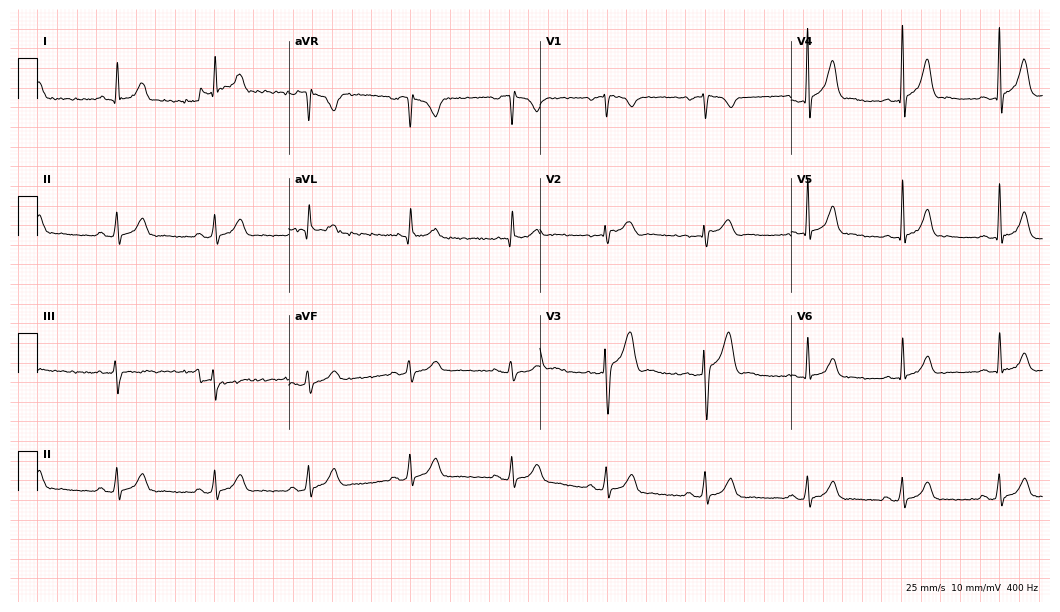
ECG — a man, 43 years old. Labelled as a normal ECG.